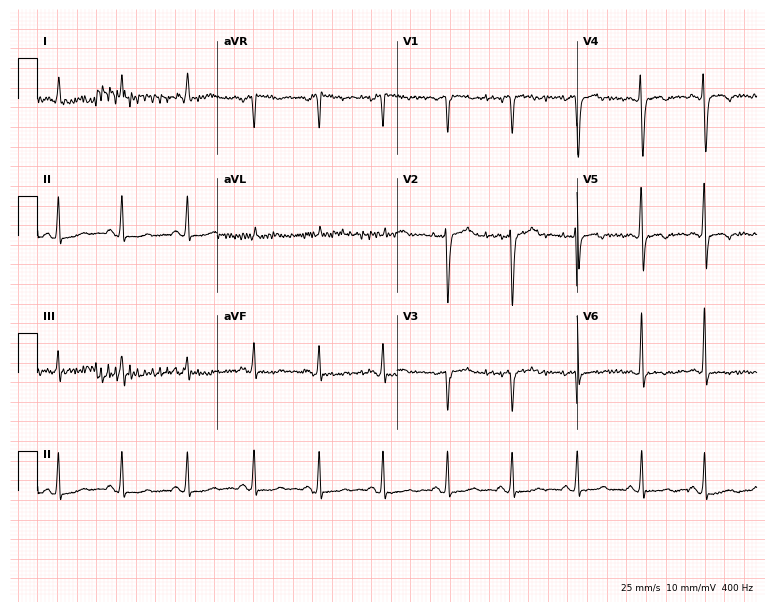
ECG — a 45-year-old woman. Screened for six findings — first-degree AV block, right bundle branch block (RBBB), left bundle branch block (LBBB), sinus bradycardia, atrial fibrillation (AF), sinus tachycardia — none is recorded. Only these six findings were labelled.